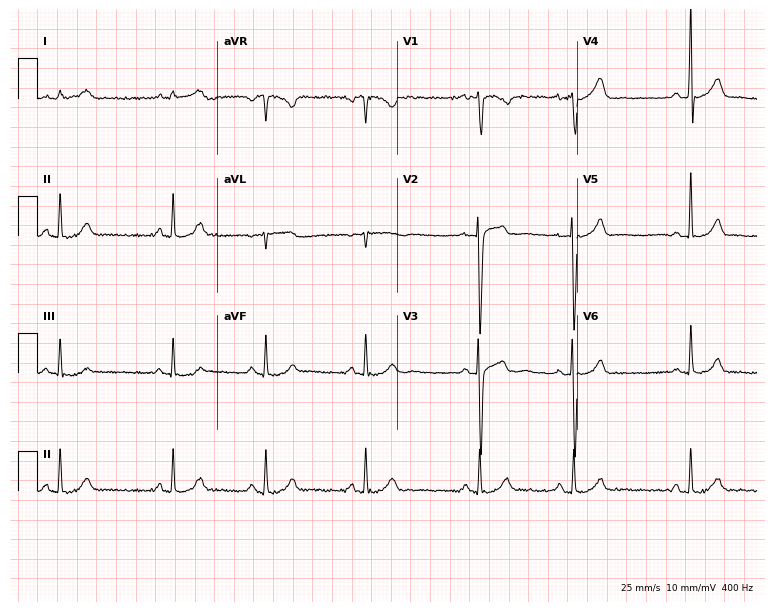
Standard 12-lead ECG recorded from a male patient, 19 years old (7.3-second recording at 400 Hz). Read as a normal ECG.